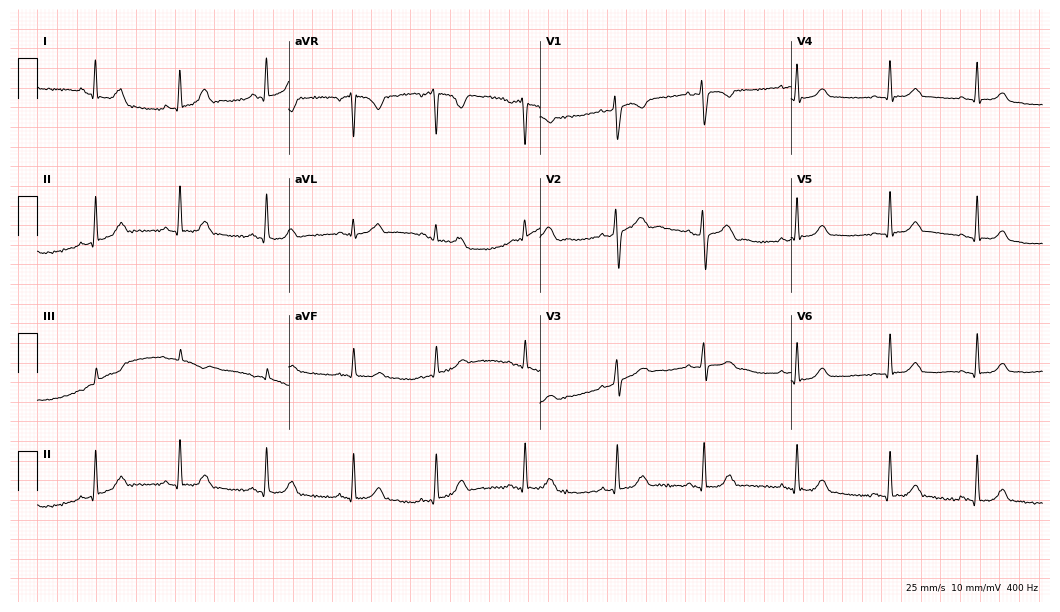
Resting 12-lead electrocardiogram (10.2-second recording at 400 Hz). Patient: a 36-year-old female. Read as a normal ECG.